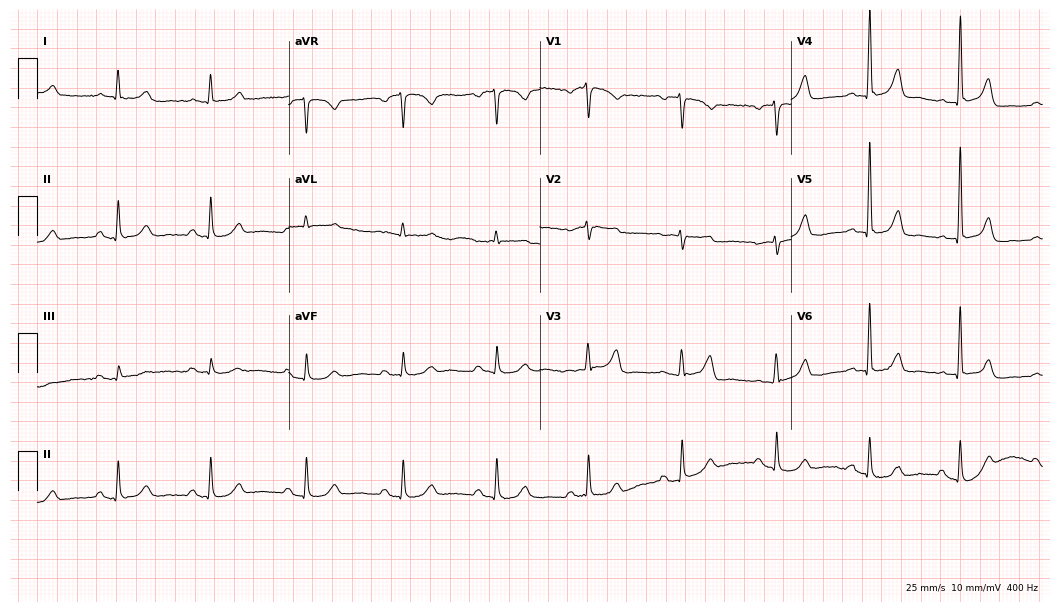
12-lead ECG from an 80-year-old female patient. No first-degree AV block, right bundle branch block, left bundle branch block, sinus bradycardia, atrial fibrillation or sinus tachycardia recorded for this tracing. Other findings, if any, are not listed.